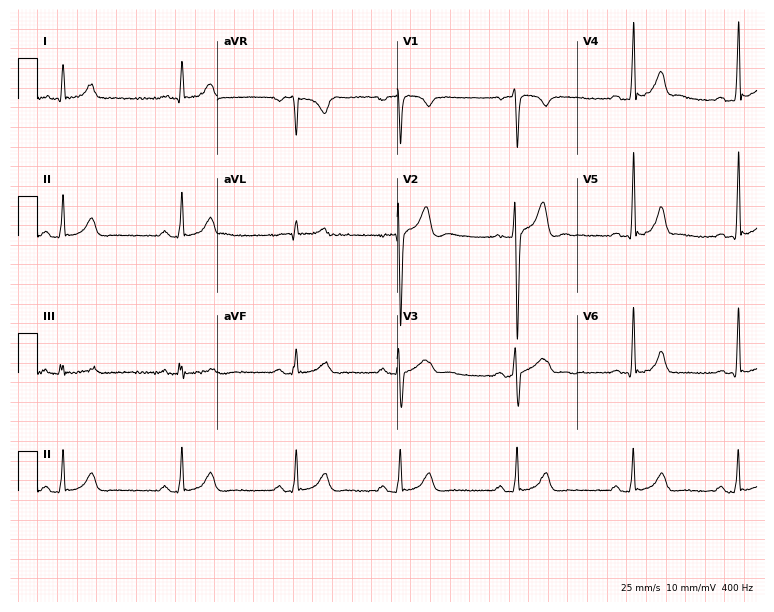
Resting 12-lead electrocardiogram (7.3-second recording at 400 Hz). Patient: an 18-year-old male. None of these six findings is recorded: first-degree AV block, right bundle branch block, left bundle branch block, sinus bradycardia, atrial fibrillation, sinus tachycardia.